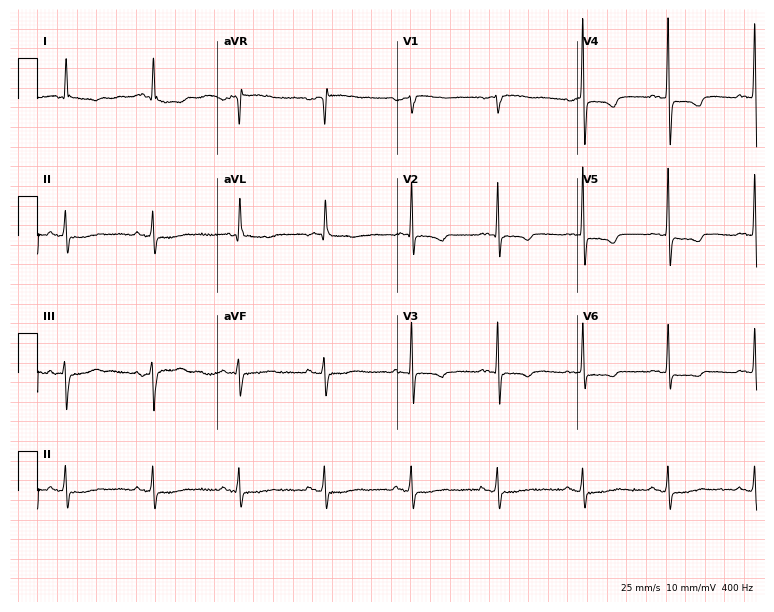
12-lead ECG from a woman, 68 years old (7.3-second recording at 400 Hz). No first-degree AV block, right bundle branch block (RBBB), left bundle branch block (LBBB), sinus bradycardia, atrial fibrillation (AF) or sinus tachycardia recorded for this tracing. Only these six findings were labelled.